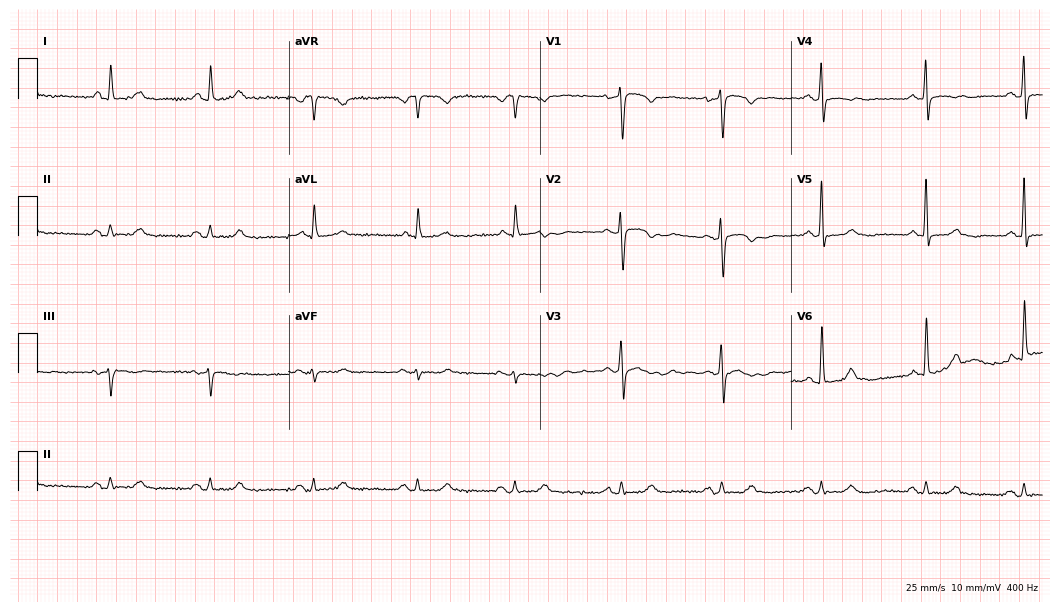
ECG — a 54-year-old woman. Screened for six findings — first-degree AV block, right bundle branch block, left bundle branch block, sinus bradycardia, atrial fibrillation, sinus tachycardia — none is recorded.